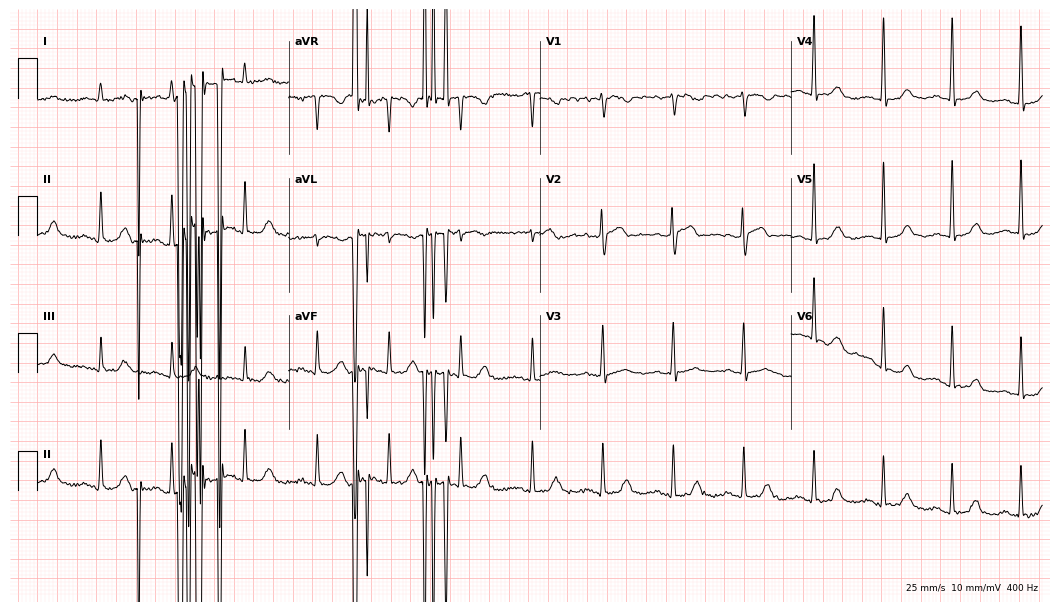
Standard 12-lead ECG recorded from an 80-year-old female (10.2-second recording at 400 Hz). None of these six findings is recorded: first-degree AV block, right bundle branch block (RBBB), left bundle branch block (LBBB), sinus bradycardia, atrial fibrillation (AF), sinus tachycardia. Other findings, if any, are not listed.